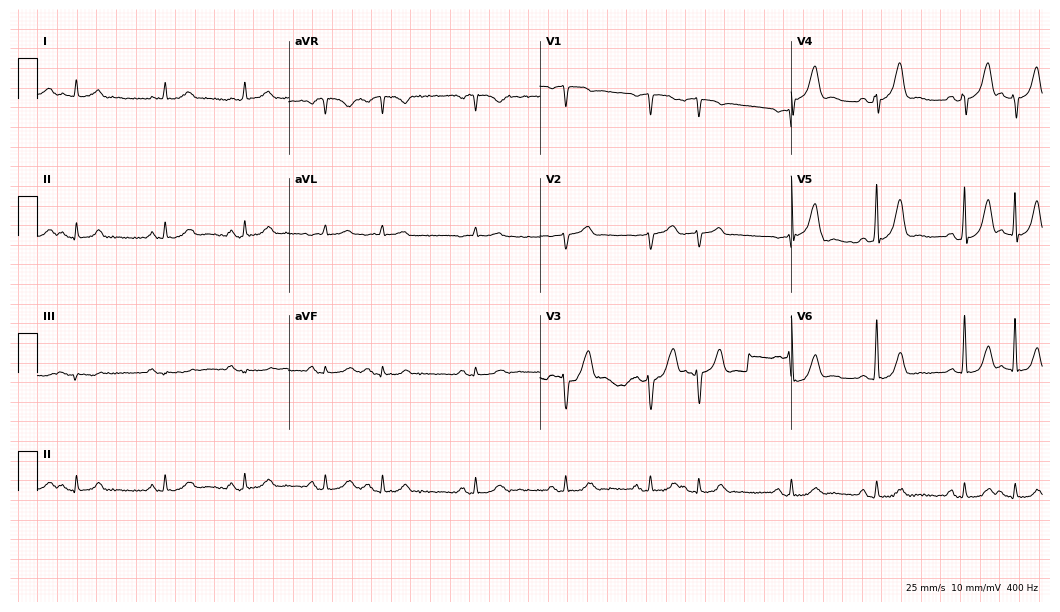
12-lead ECG from a 75-year-old male. No first-degree AV block, right bundle branch block, left bundle branch block, sinus bradycardia, atrial fibrillation or sinus tachycardia recorded for this tracing.